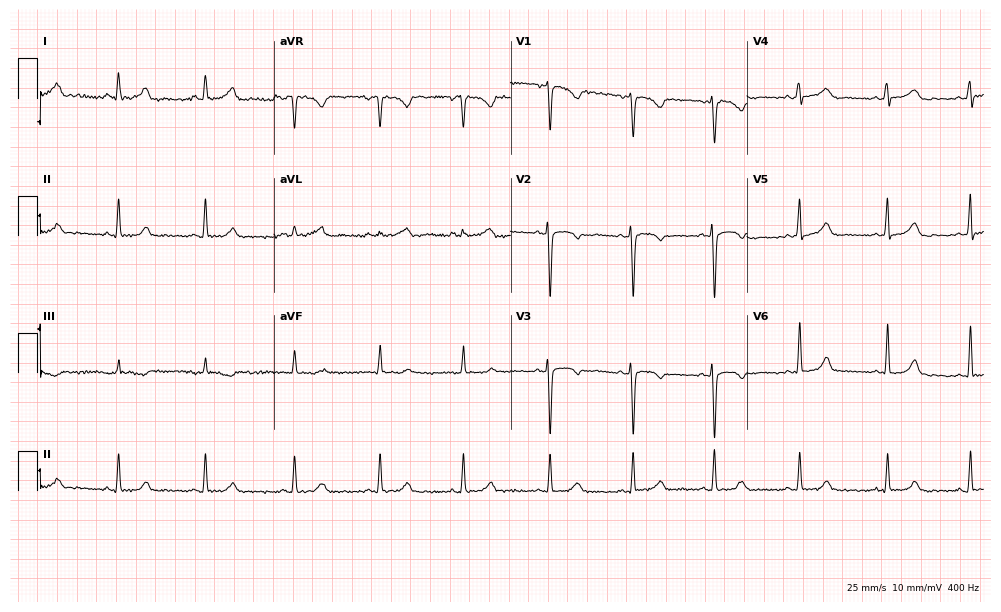
Resting 12-lead electrocardiogram (9.6-second recording at 400 Hz). Patient: a female, 40 years old. None of these six findings is recorded: first-degree AV block, right bundle branch block, left bundle branch block, sinus bradycardia, atrial fibrillation, sinus tachycardia. Findings outside these six are not listed.